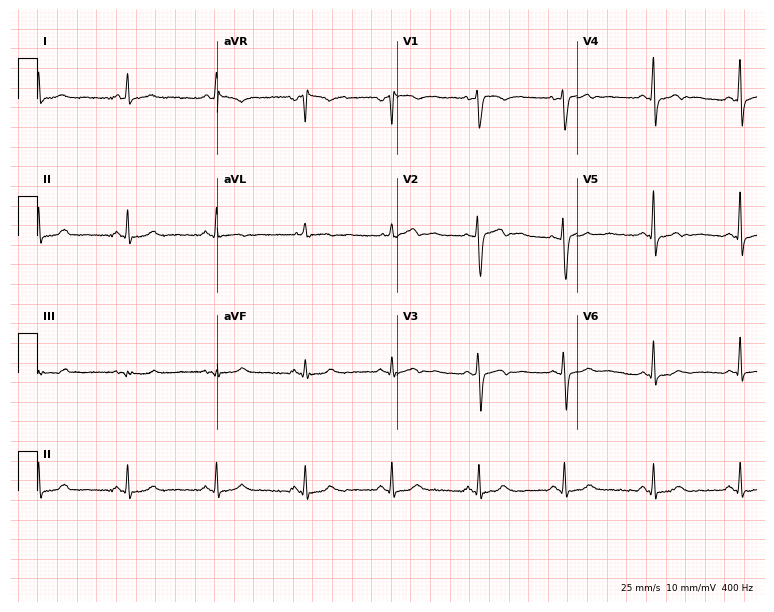
12-lead ECG from a 50-year-old female patient. Labelled as a normal ECG.